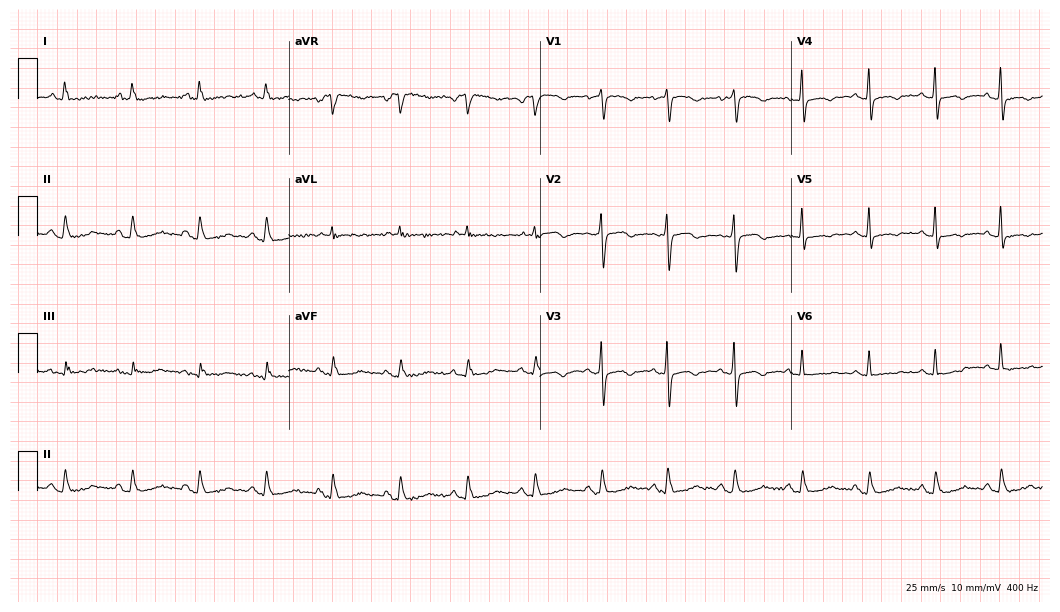
Resting 12-lead electrocardiogram (10.2-second recording at 400 Hz). Patient: a female, 63 years old. None of these six findings is recorded: first-degree AV block, right bundle branch block (RBBB), left bundle branch block (LBBB), sinus bradycardia, atrial fibrillation (AF), sinus tachycardia. Other findings, if any, are not listed.